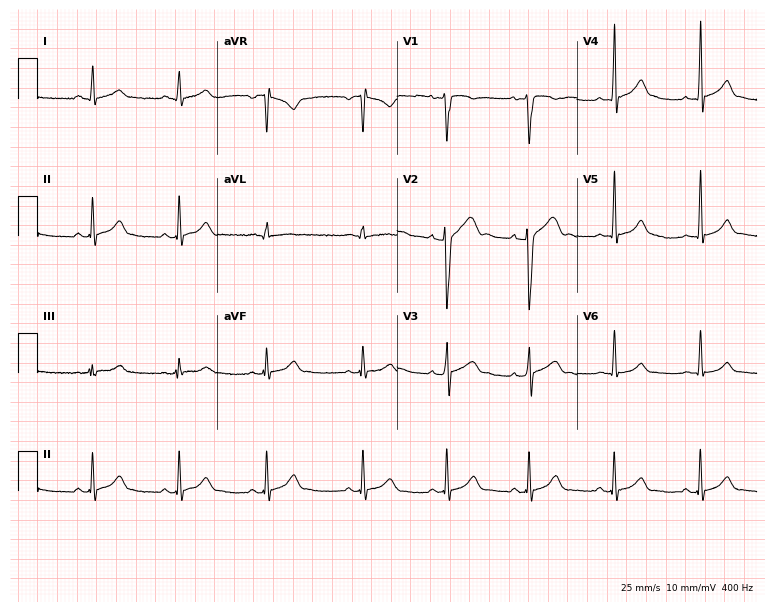
Standard 12-lead ECG recorded from a 28-year-old male patient. Read as a normal ECG.